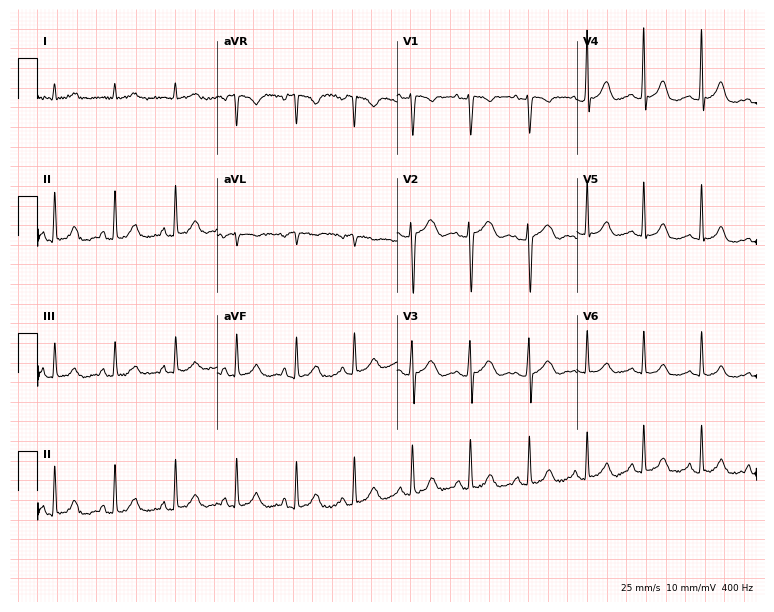
ECG — a female, 40 years old. Screened for six findings — first-degree AV block, right bundle branch block, left bundle branch block, sinus bradycardia, atrial fibrillation, sinus tachycardia — none is recorded. Other findings, if any, are not listed.